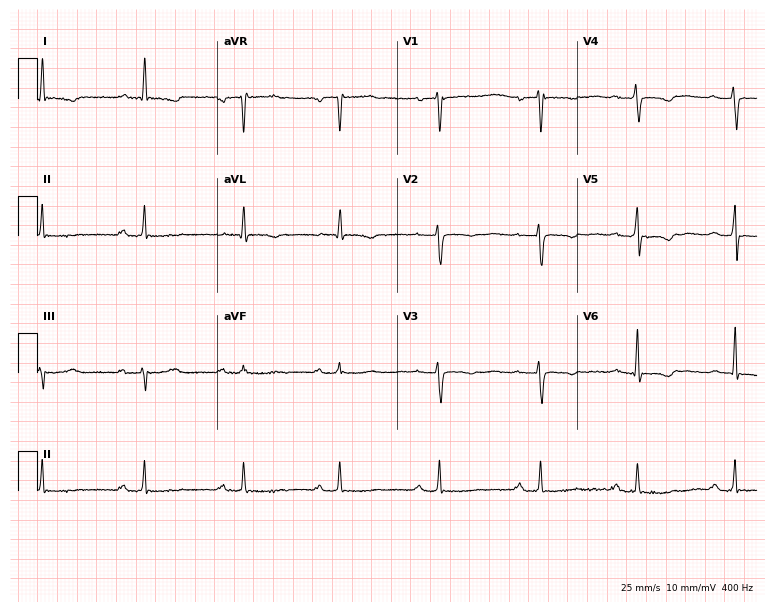
Electrocardiogram (7.3-second recording at 400 Hz), a 58-year-old female. Of the six screened findings (first-degree AV block, right bundle branch block, left bundle branch block, sinus bradycardia, atrial fibrillation, sinus tachycardia), none is recorded.